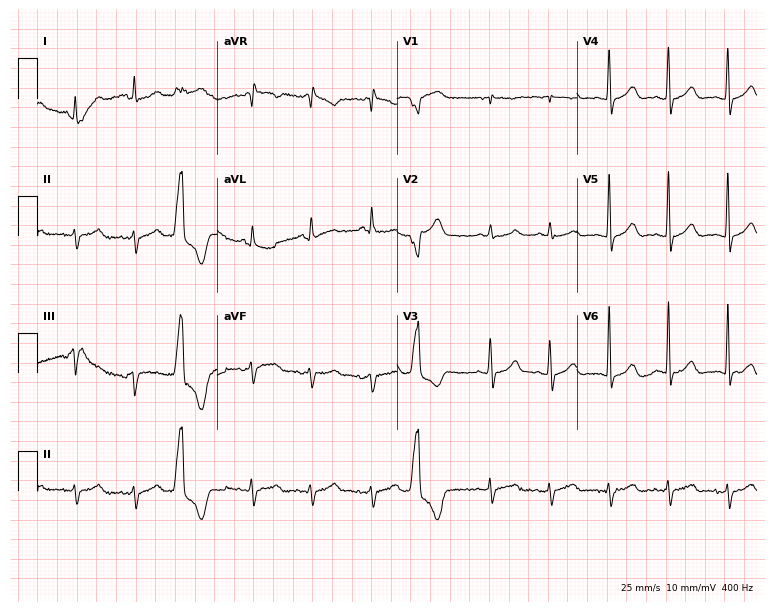
Standard 12-lead ECG recorded from a male patient, 85 years old. None of these six findings is recorded: first-degree AV block, right bundle branch block (RBBB), left bundle branch block (LBBB), sinus bradycardia, atrial fibrillation (AF), sinus tachycardia. Other findings, if any, are not listed.